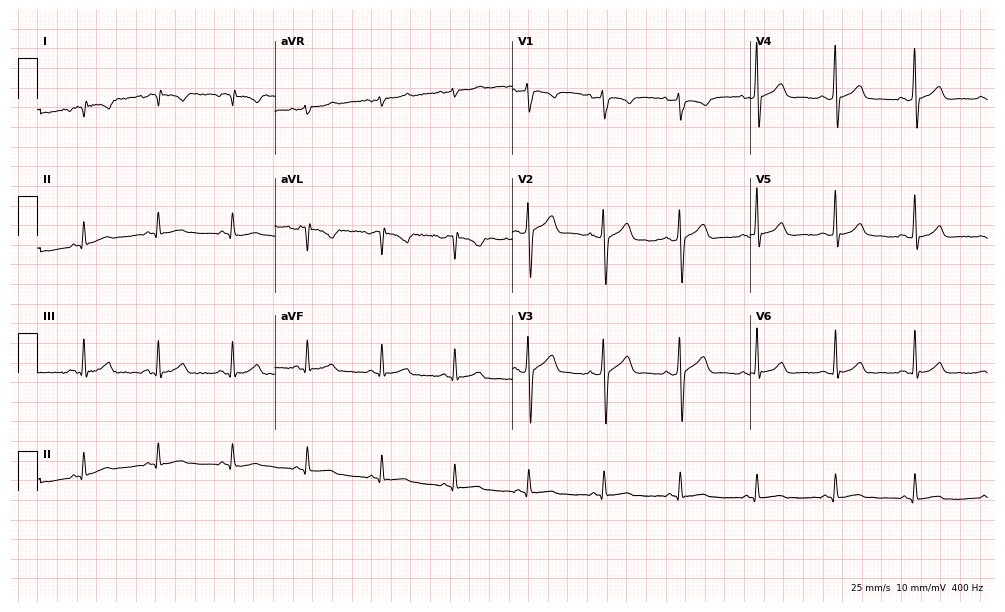
12-lead ECG from an 82-year-old male. No first-degree AV block, right bundle branch block, left bundle branch block, sinus bradycardia, atrial fibrillation or sinus tachycardia recorded for this tracing.